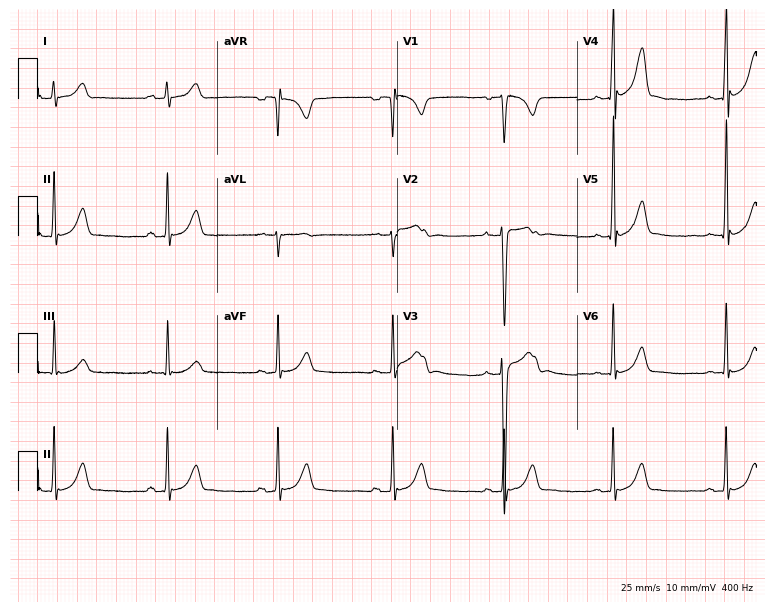
12-lead ECG from a 17-year-old male patient. Recorded interpretation: within normal limits.